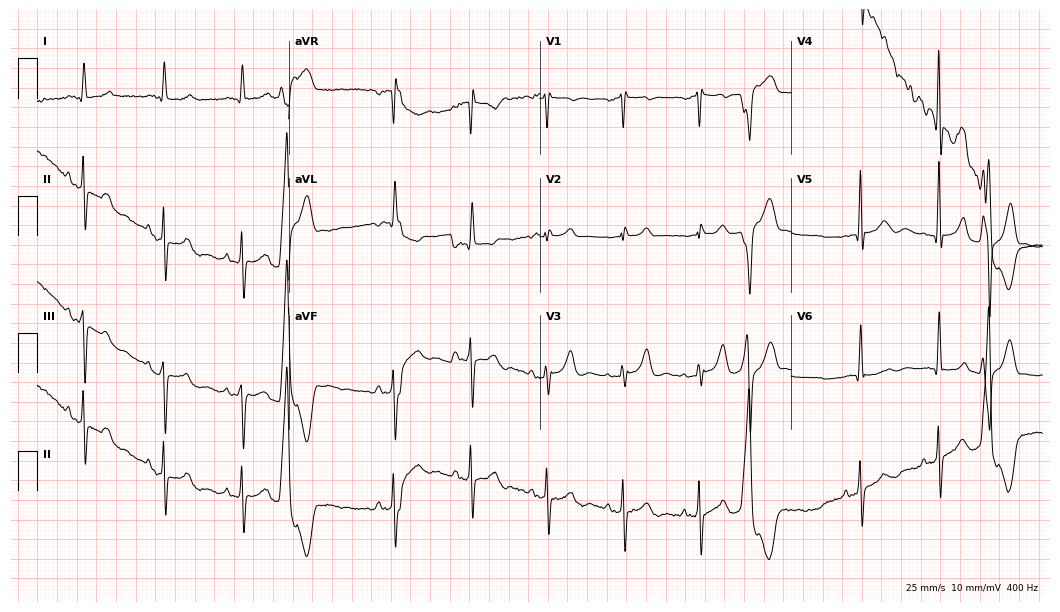
Resting 12-lead electrocardiogram (10.2-second recording at 400 Hz). Patient: a 73-year-old male. None of these six findings is recorded: first-degree AV block, right bundle branch block (RBBB), left bundle branch block (LBBB), sinus bradycardia, atrial fibrillation (AF), sinus tachycardia.